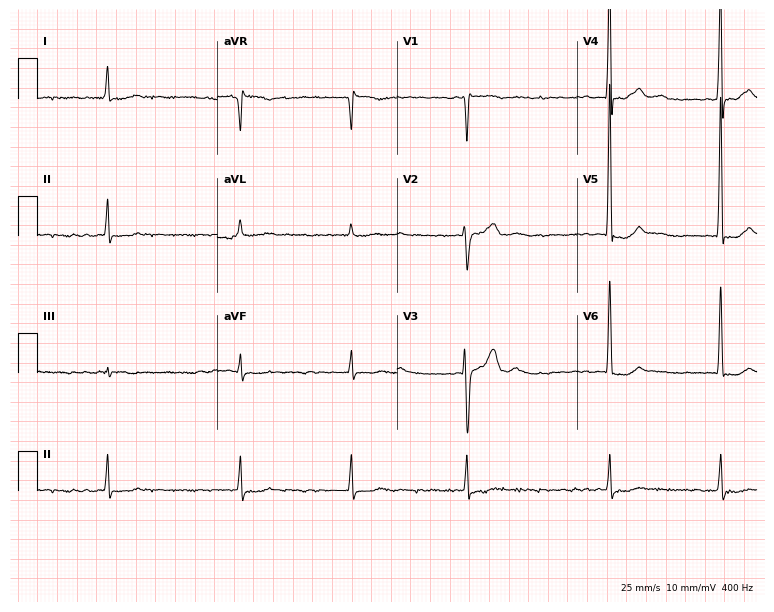
12-lead ECG (7.3-second recording at 400 Hz) from a man, 68 years old. Findings include atrial fibrillation.